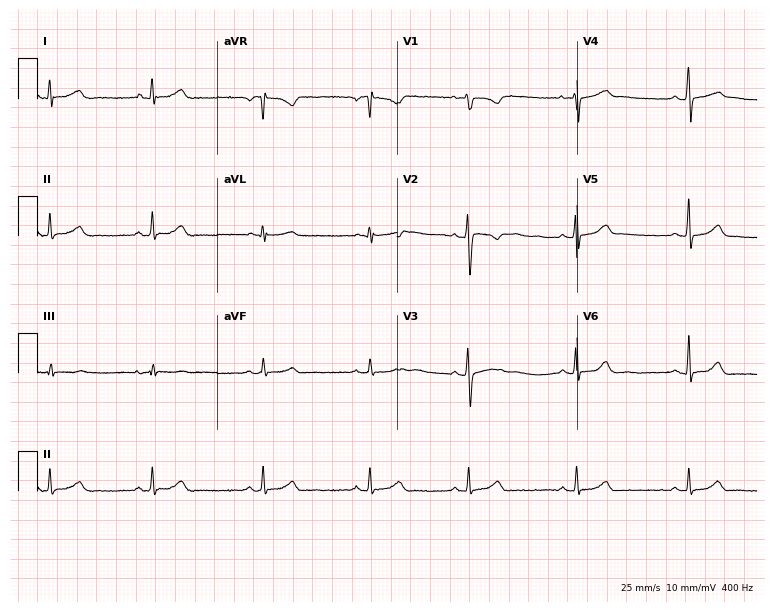
Standard 12-lead ECG recorded from a 22-year-old woman. Read as a normal ECG.